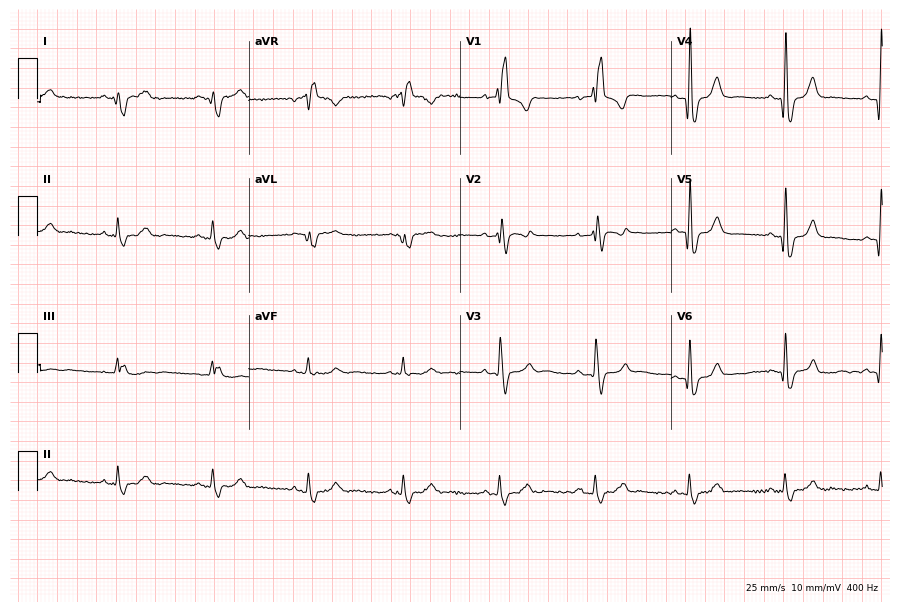
Electrocardiogram (8.6-second recording at 400 Hz), a 62-year-old male. Of the six screened findings (first-degree AV block, right bundle branch block, left bundle branch block, sinus bradycardia, atrial fibrillation, sinus tachycardia), none is recorded.